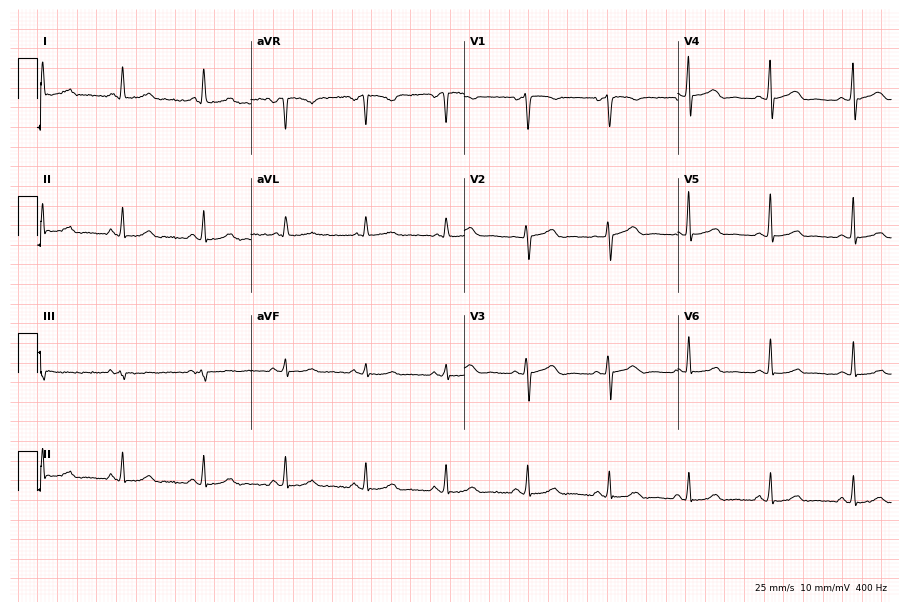
12-lead ECG from a female, 43 years old. Recorded interpretation: within normal limits.